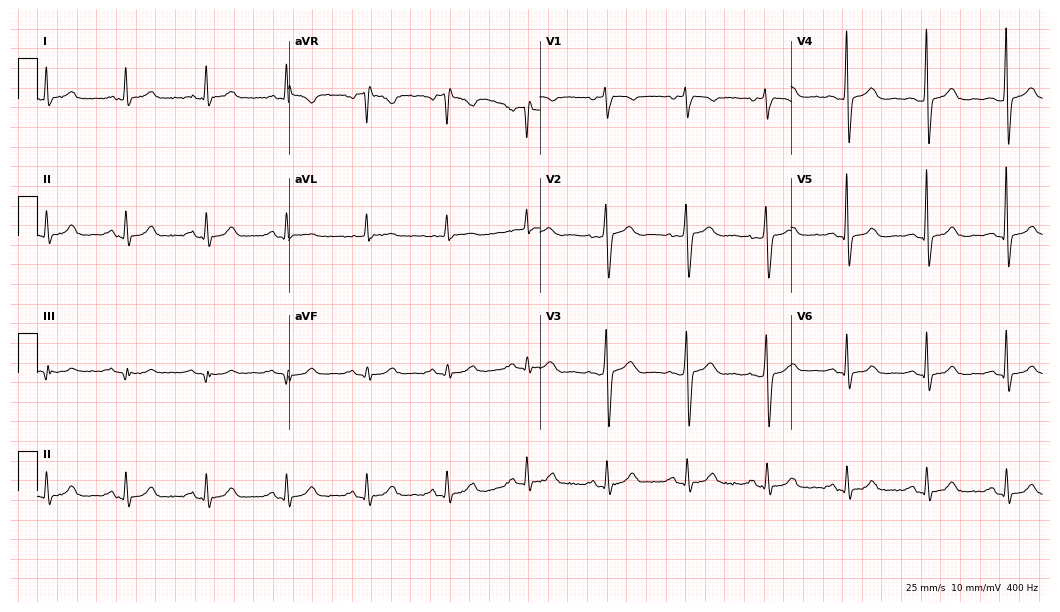
12-lead ECG from a 55-year-old male patient. Labelled as a normal ECG.